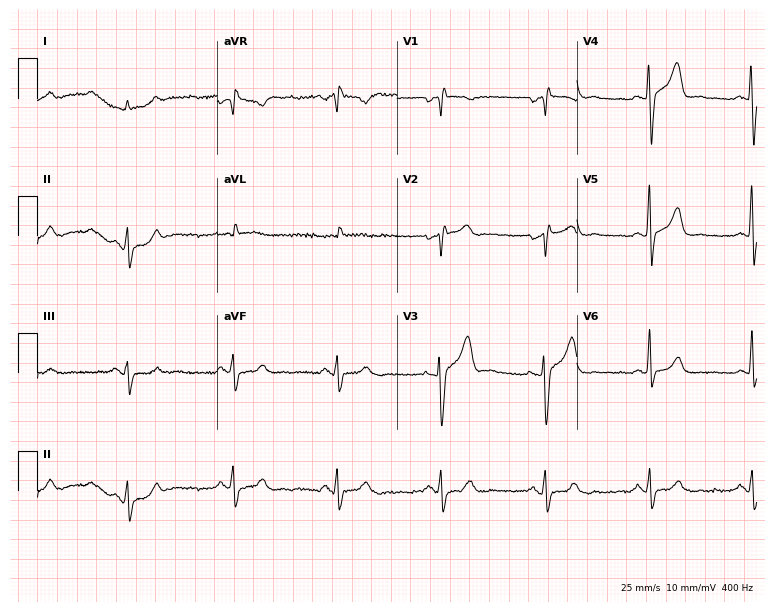
Resting 12-lead electrocardiogram. Patient: a 73-year-old man. Read as a normal ECG.